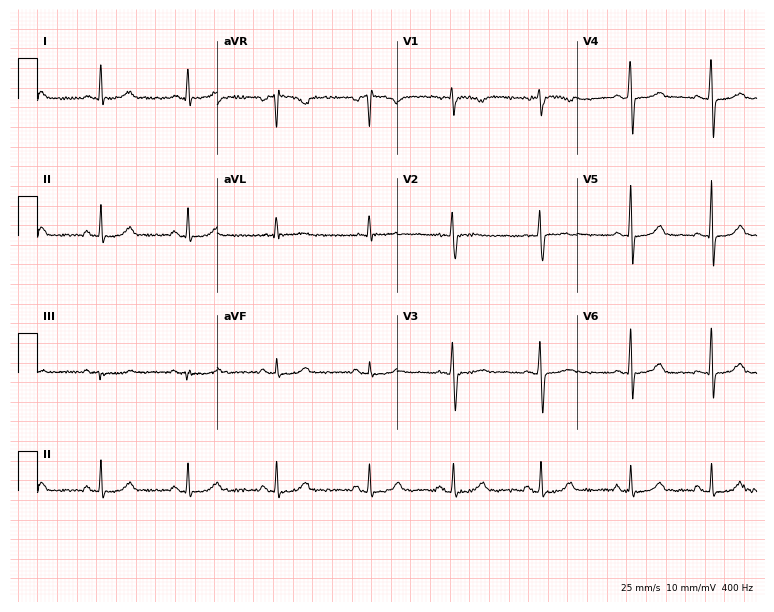
Standard 12-lead ECG recorded from a 39-year-old female patient (7.3-second recording at 400 Hz). None of these six findings is recorded: first-degree AV block, right bundle branch block (RBBB), left bundle branch block (LBBB), sinus bradycardia, atrial fibrillation (AF), sinus tachycardia. Other findings, if any, are not listed.